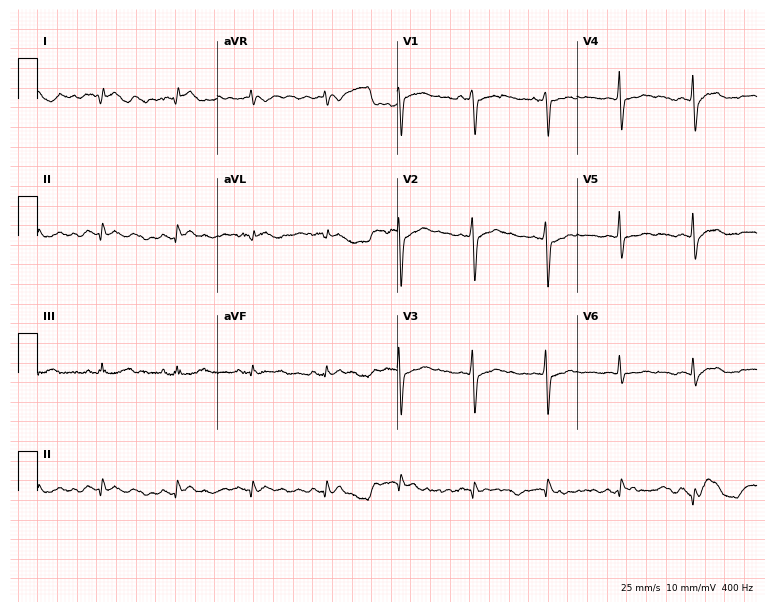
12-lead ECG (7.3-second recording at 400 Hz) from a 78-year-old male. Screened for six findings — first-degree AV block, right bundle branch block, left bundle branch block, sinus bradycardia, atrial fibrillation, sinus tachycardia — none is recorded. Only these six findings were labelled.